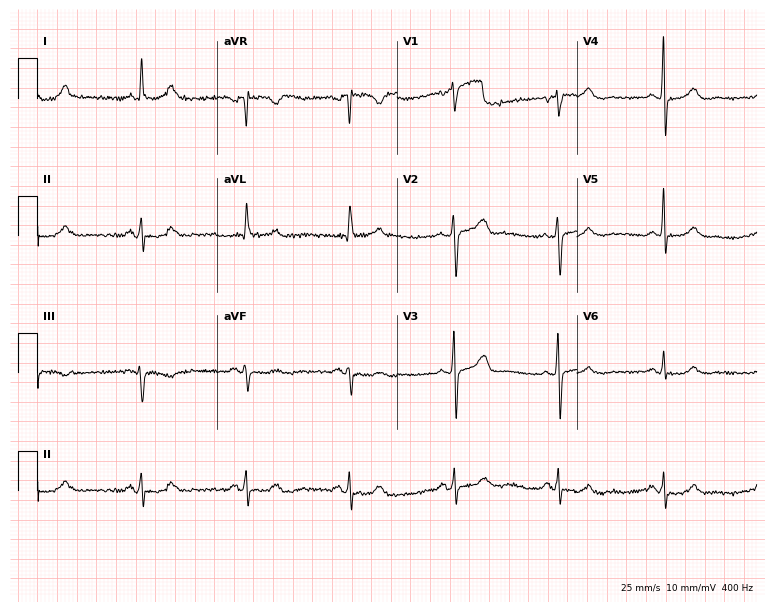
Electrocardiogram, a male, 60 years old. Overall reading on record: normal ECG.